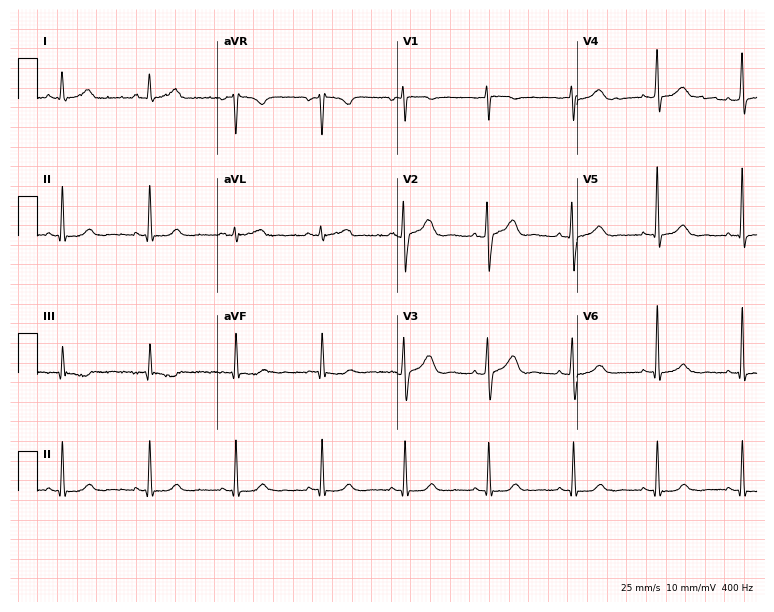
ECG (7.3-second recording at 400 Hz) — a female, 50 years old. Labelled as a normal ECG.